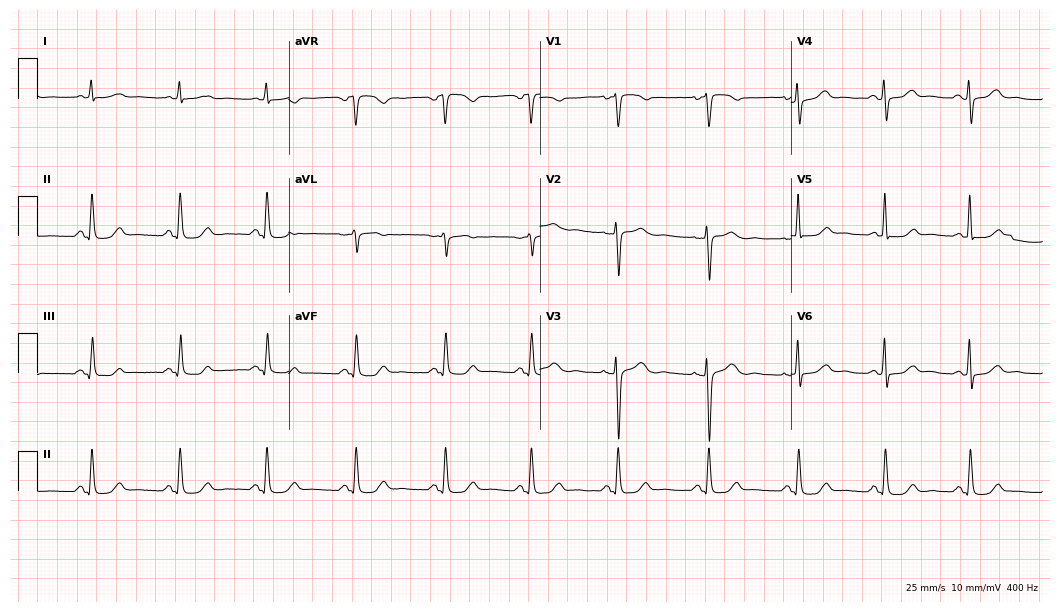
Electrocardiogram (10.2-second recording at 400 Hz), a 50-year-old female patient. Overall reading on record: normal ECG.